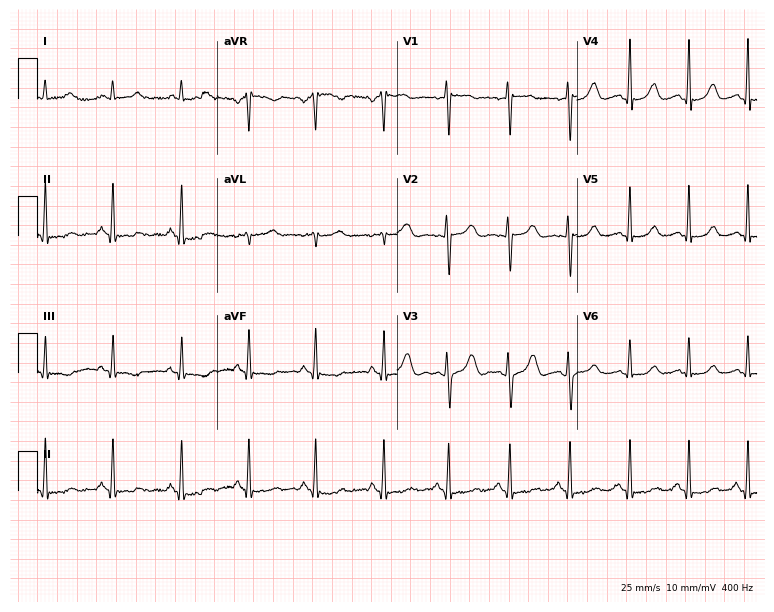
ECG — a woman, 28 years old. Screened for six findings — first-degree AV block, right bundle branch block, left bundle branch block, sinus bradycardia, atrial fibrillation, sinus tachycardia — none is recorded. Other findings, if any, are not listed.